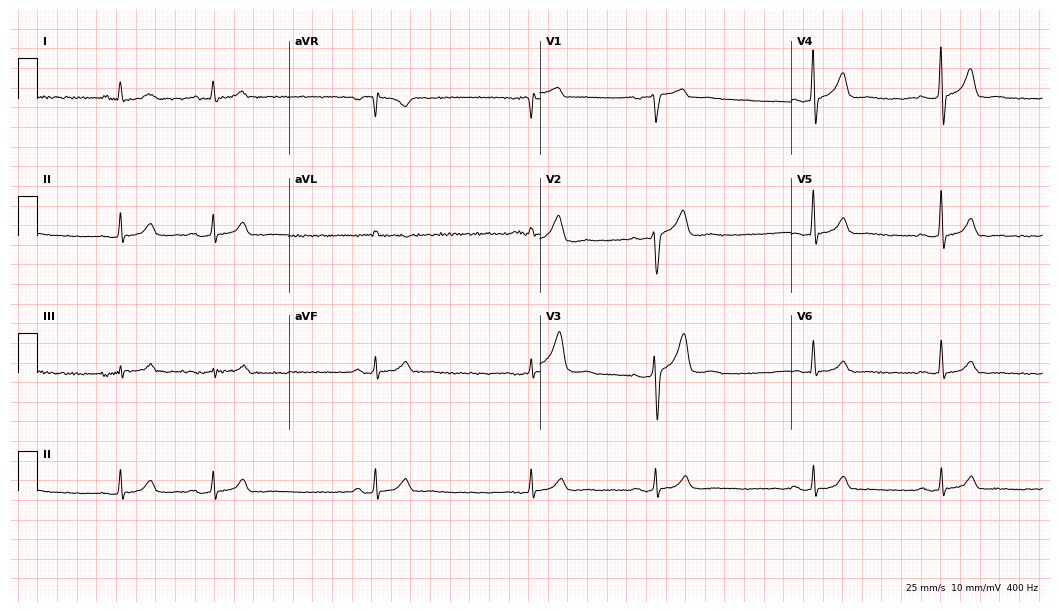
12-lead ECG from a man, 69 years old. Screened for six findings — first-degree AV block, right bundle branch block, left bundle branch block, sinus bradycardia, atrial fibrillation, sinus tachycardia — none is recorded. Only these six findings were labelled.